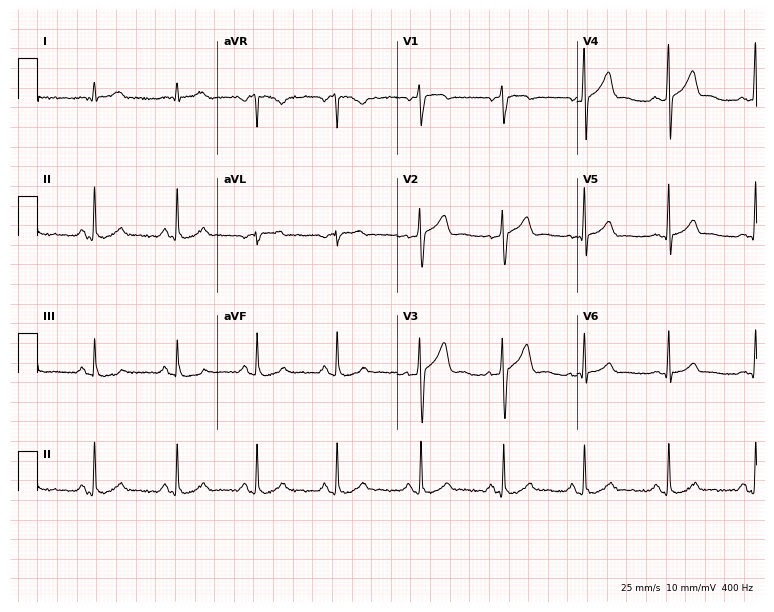
Standard 12-lead ECG recorded from a man, 35 years old (7.3-second recording at 400 Hz). Read as a normal ECG.